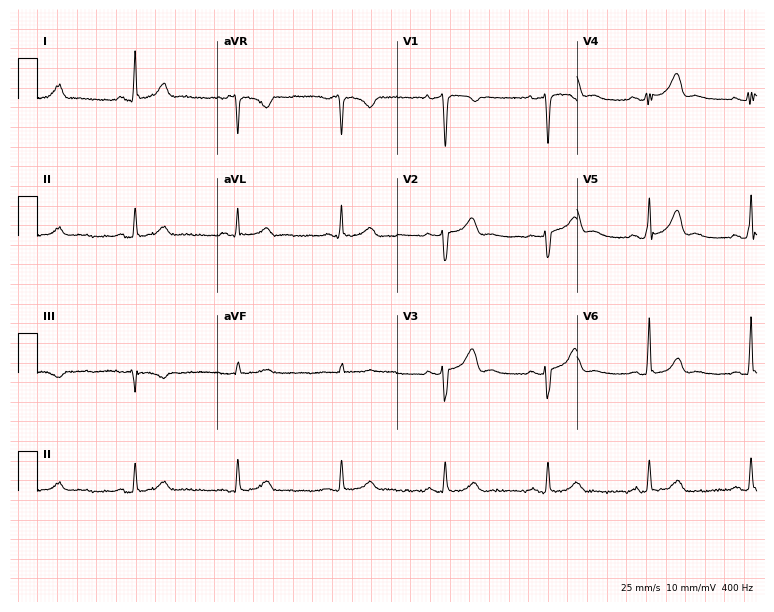
12-lead ECG from a woman, 49 years old (7.3-second recording at 400 Hz). Recorded interpretation: within normal limits.